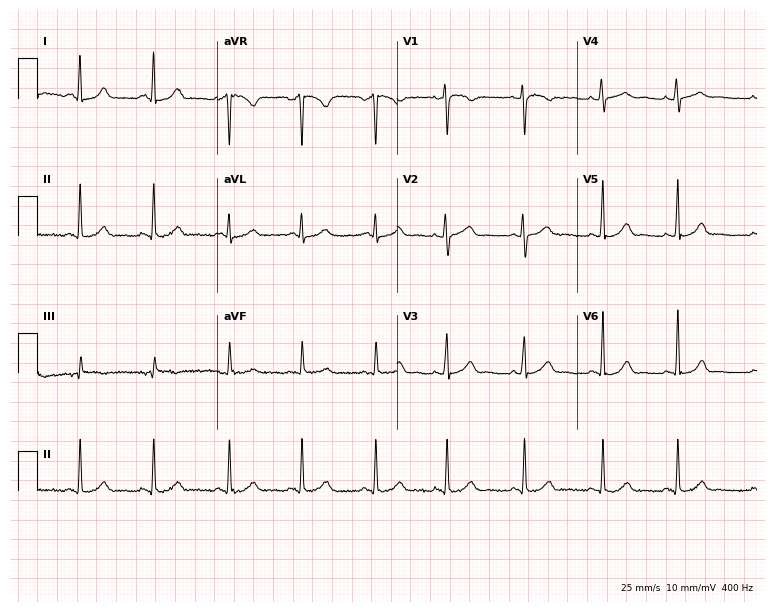
ECG — a woman, 25 years old. Labelled as a normal ECG.